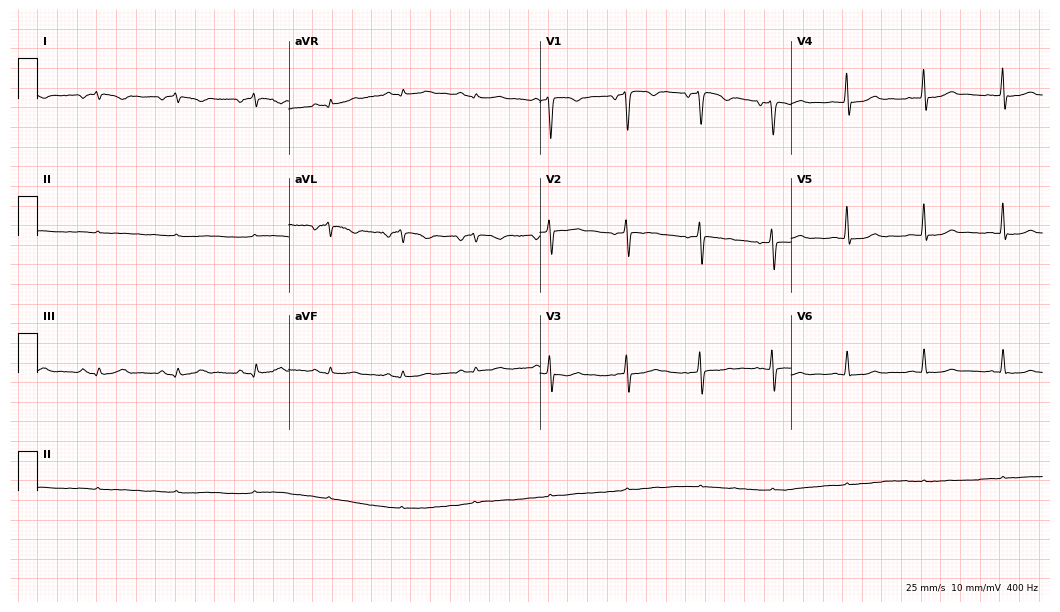
12-lead ECG (10.2-second recording at 400 Hz) from a female patient, 49 years old. Screened for six findings — first-degree AV block, right bundle branch block (RBBB), left bundle branch block (LBBB), sinus bradycardia, atrial fibrillation (AF), sinus tachycardia — none is recorded.